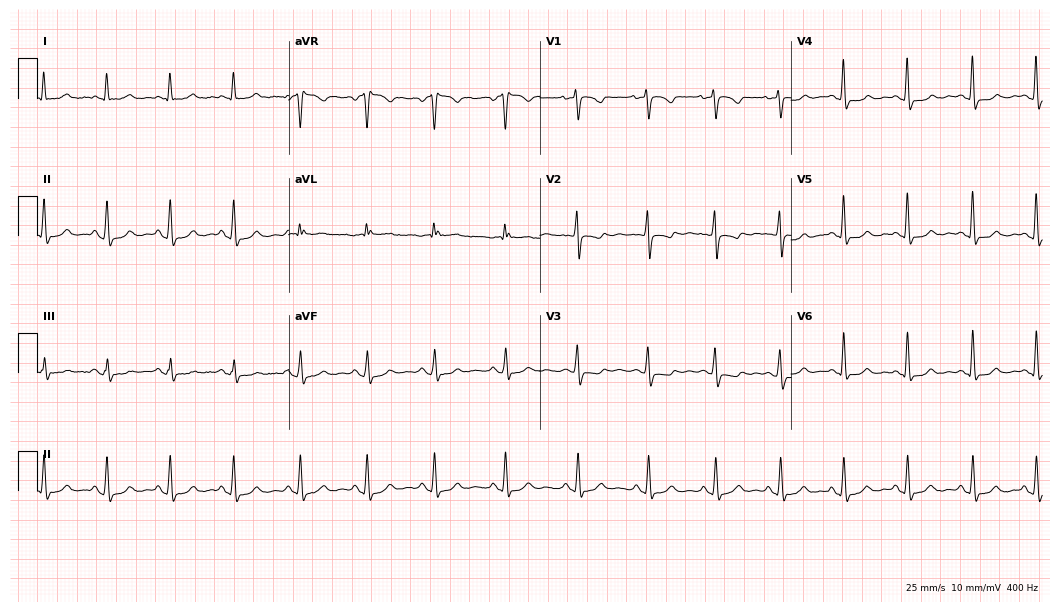
12-lead ECG (10.2-second recording at 400 Hz) from a female patient, 54 years old. Screened for six findings — first-degree AV block, right bundle branch block, left bundle branch block, sinus bradycardia, atrial fibrillation, sinus tachycardia — none is recorded.